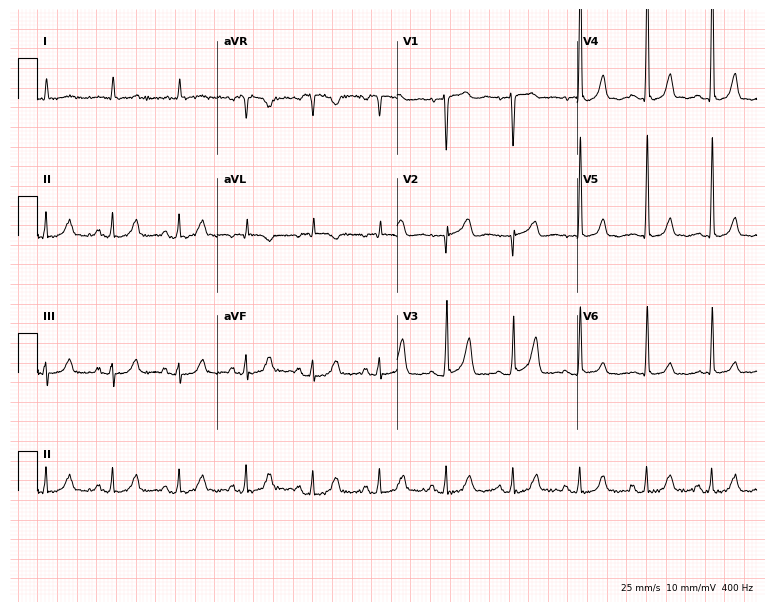
Electrocardiogram, a woman, 79 years old. Of the six screened findings (first-degree AV block, right bundle branch block (RBBB), left bundle branch block (LBBB), sinus bradycardia, atrial fibrillation (AF), sinus tachycardia), none is recorded.